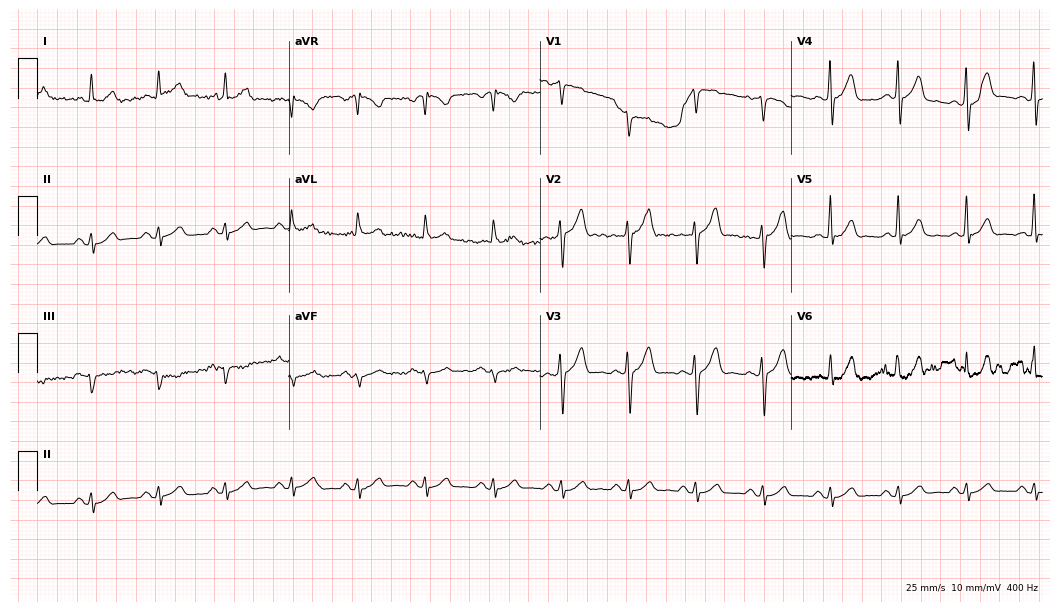
Standard 12-lead ECG recorded from a male patient, 70 years old. Read as a normal ECG.